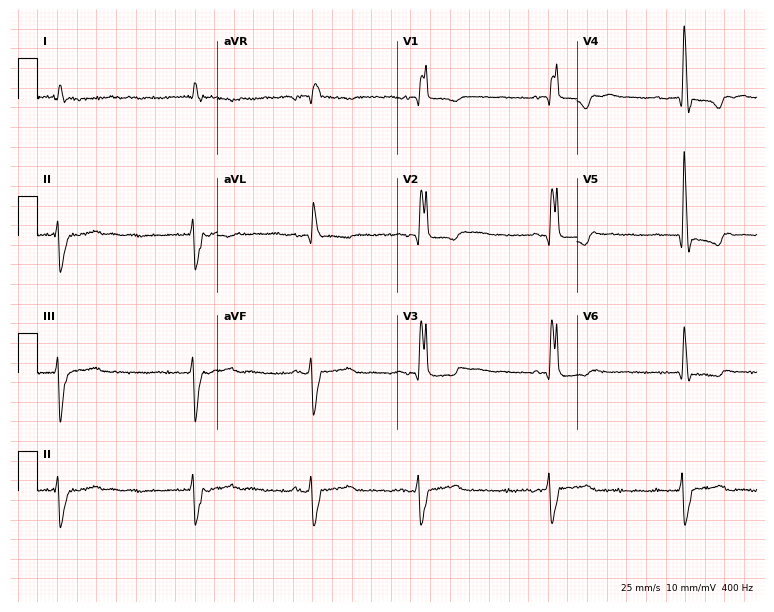
Electrocardiogram, a female, 79 years old. Of the six screened findings (first-degree AV block, right bundle branch block, left bundle branch block, sinus bradycardia, atrial fibrillation, sinus tachycardia), none is recorded. Findings outside these six are not listed.